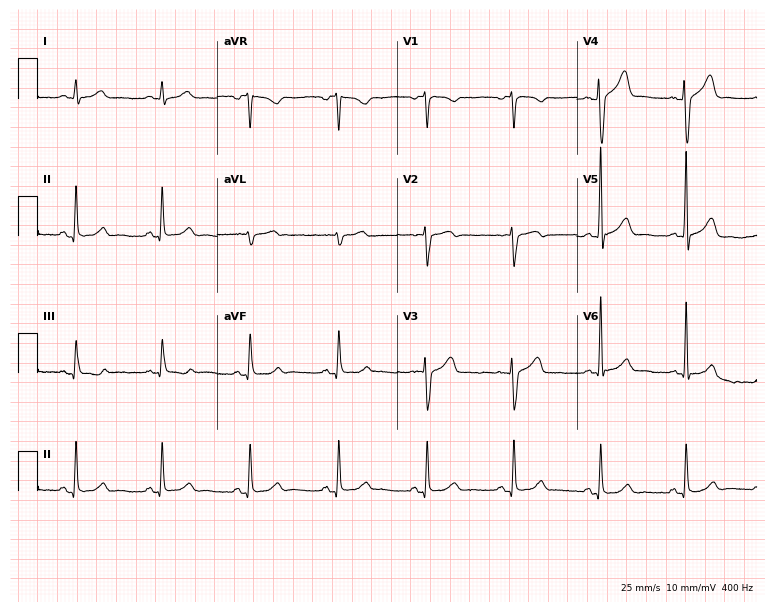
Resting 12-lead electrocardiogram. Patient: a 43-year-old male. Read as a normal ECG.